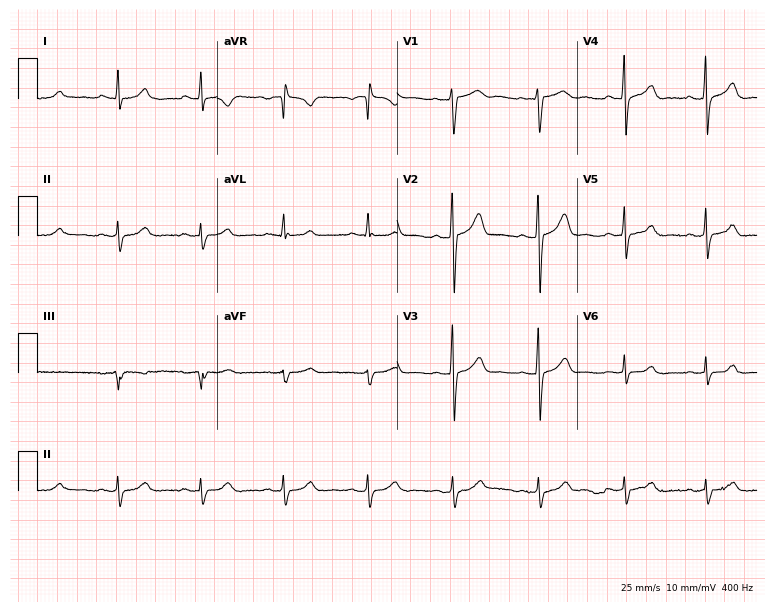
Standard 12-lead ECG recorded from a 47-year-old man. None of these six findings is recorded: first-degree AV block, right bundle branch block, left bundle branch block, sinus bradycardia, atrial fibrillation, sinus tachycardia. Only these six findings were labelled.